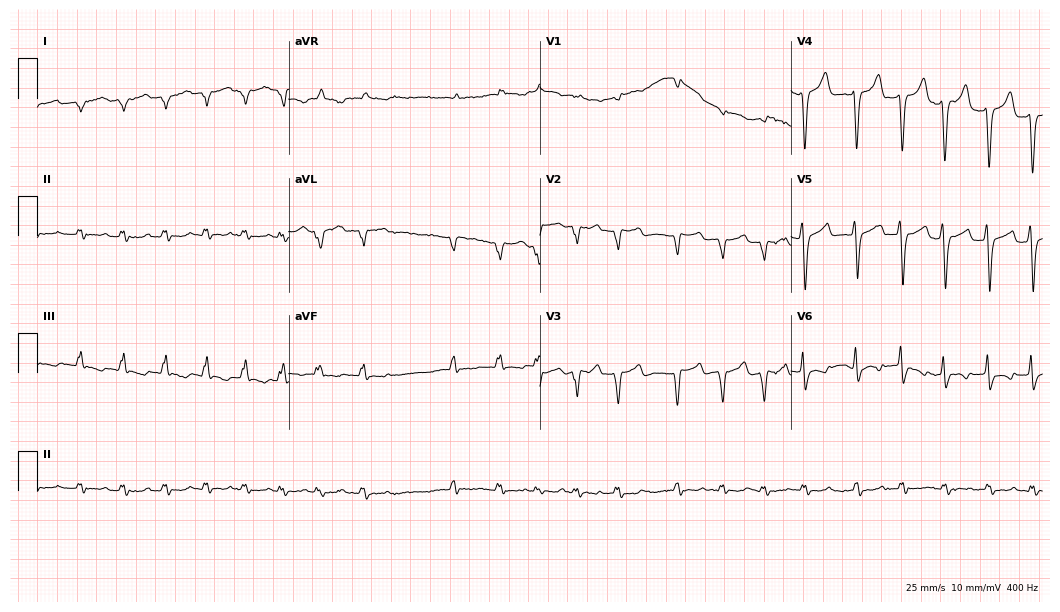
Resting 12-lead electrocardiogram (10.2-second recording at 400 Hz). Patient: a 75-year-old woman. None of these six findings is recorded: first-degree AV block, right bundle branch block, left bundle branch block, sinus bradycardia, atrial fibrillation, sinus tachycardia. Findings outside these six are not listed.